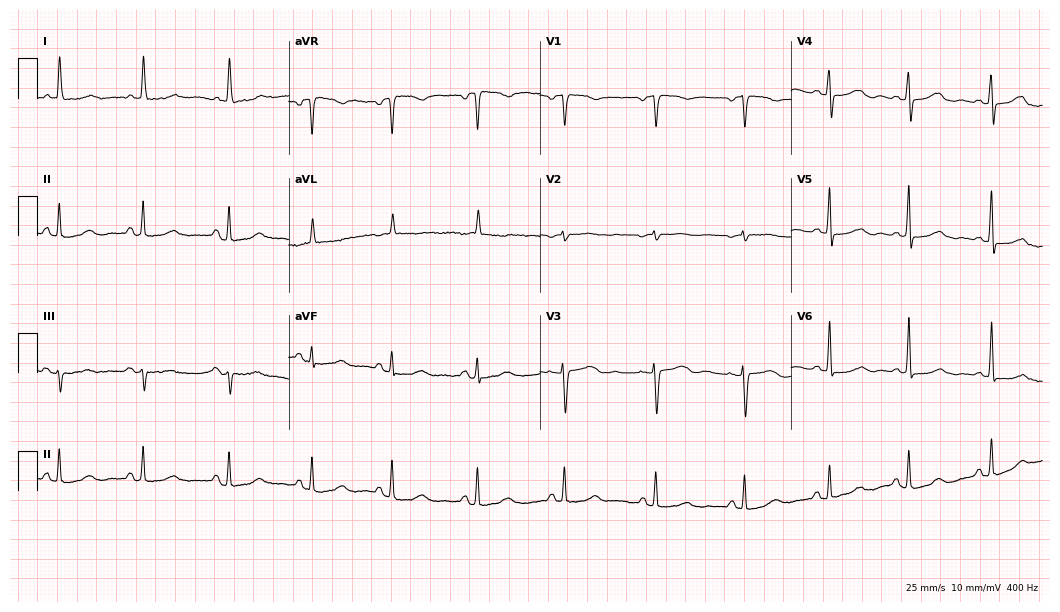
Resting 12-lead electrocardiogram (10.2-second recording at 400 Hz). Patient: a female, 71 years old. None of these six findings is recorded: first-degree AV block, right bundle branch block (RBBB), left bundle branch block (LBBB), sinus bradycardia, atrial fibrillation (AF), sinus tachycardia.